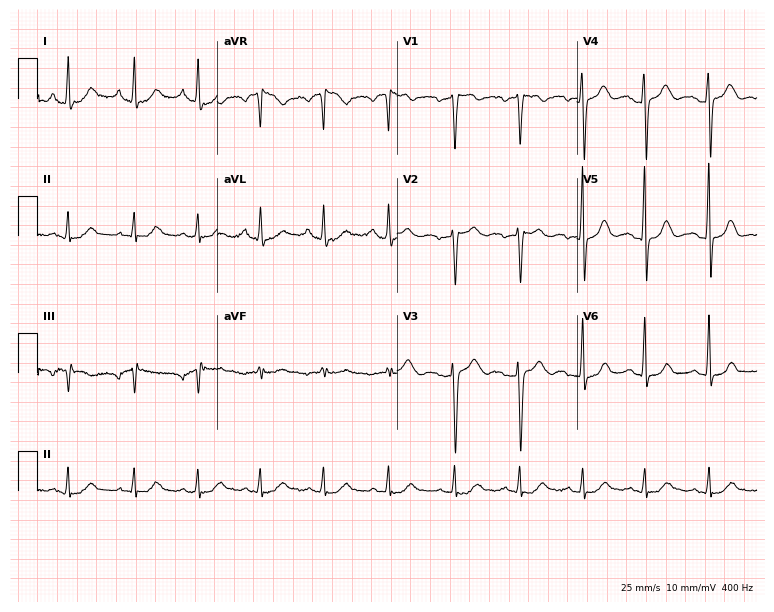
ECG — a woman, 38 years old. Labelled as a normal ECG.